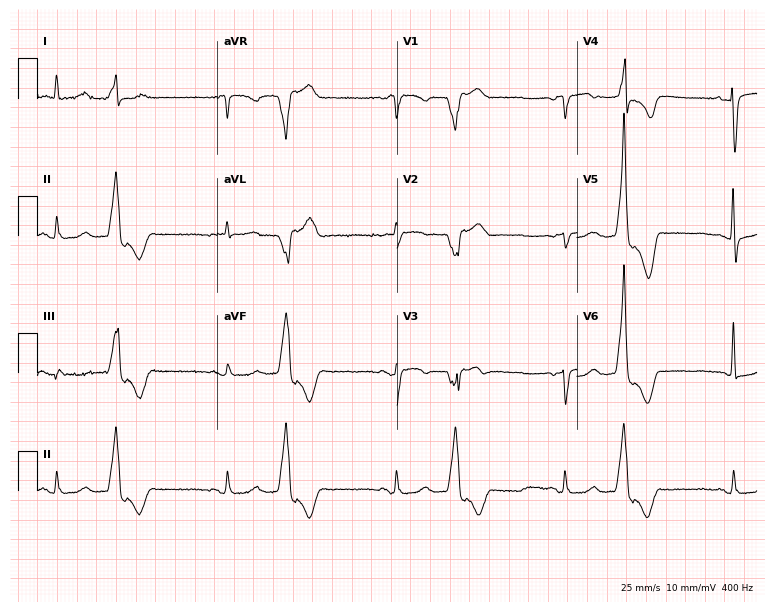
ECG (7.3-second recording at 400 Hz) — a 79-year-old female patient. Screened for six findings — first-degree AV block, right bundle branch block, left bundle branch block, sinus bradycardia, atrial fibrillation, sinus tachycardia — none is recorded.